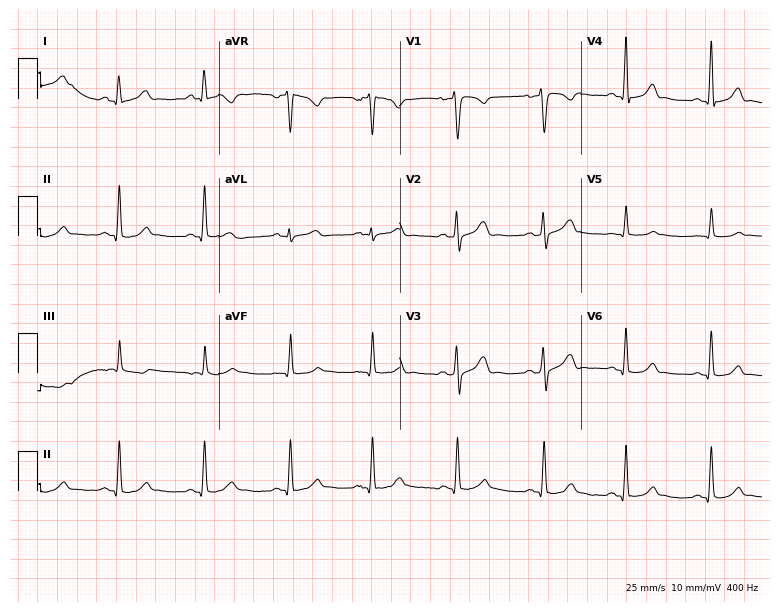
Standard 12-lead ECG recorded from a female patient, 35 years old. Read as a normal ECG.